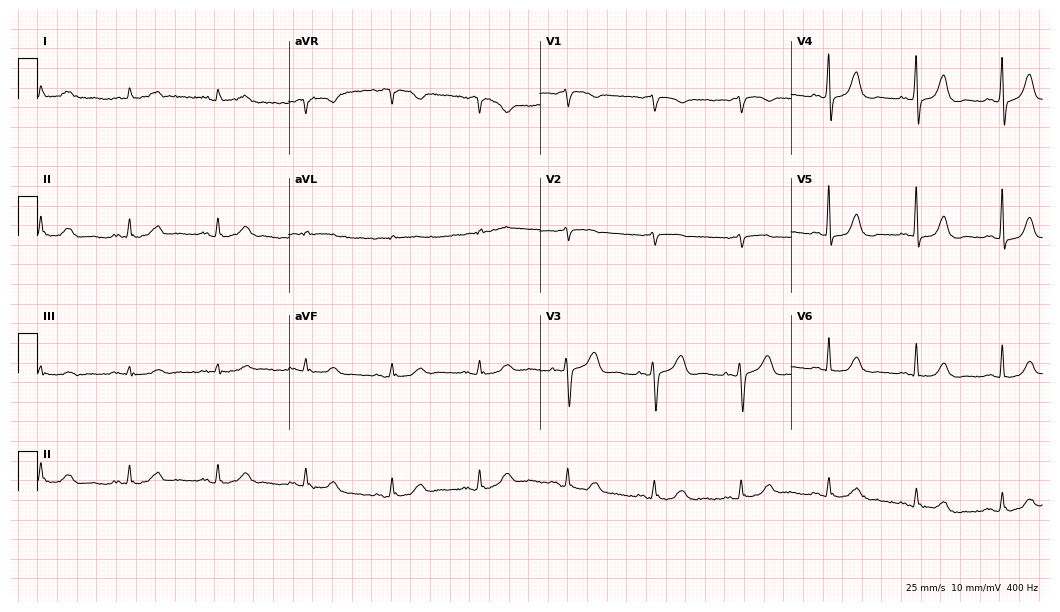
Electrocardiogram, an 81-year-old woman. Overall reading on record: normal ECG.